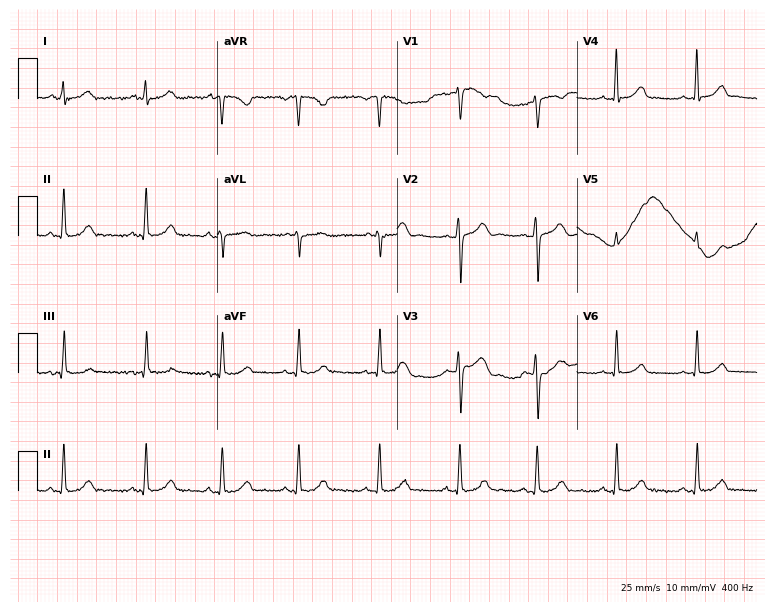
ECG (7.3-second recording at 400 Hz) — a 26-year-old female patient. Labelled as a normal ECG.